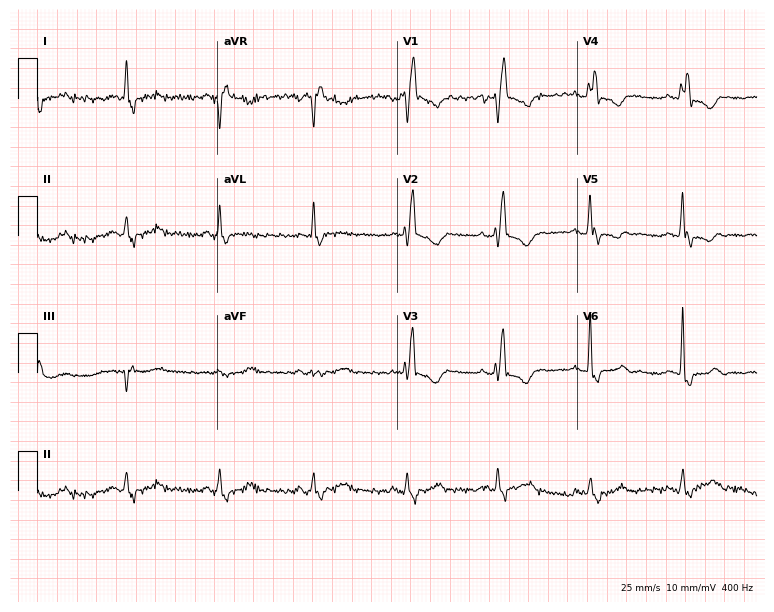
12-lead ECG (7.3-second recording at 400 Hz) from a female, 62 years old. Findings include right bundle branch block.